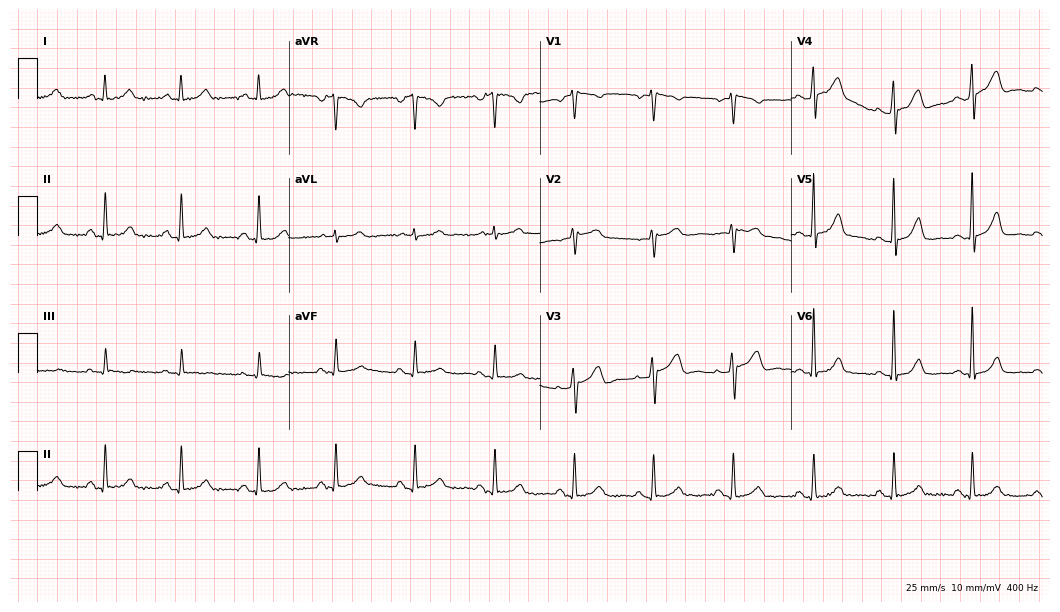
12-lead ECG from a woman, 57 years old. Labelled as a normal ECG.